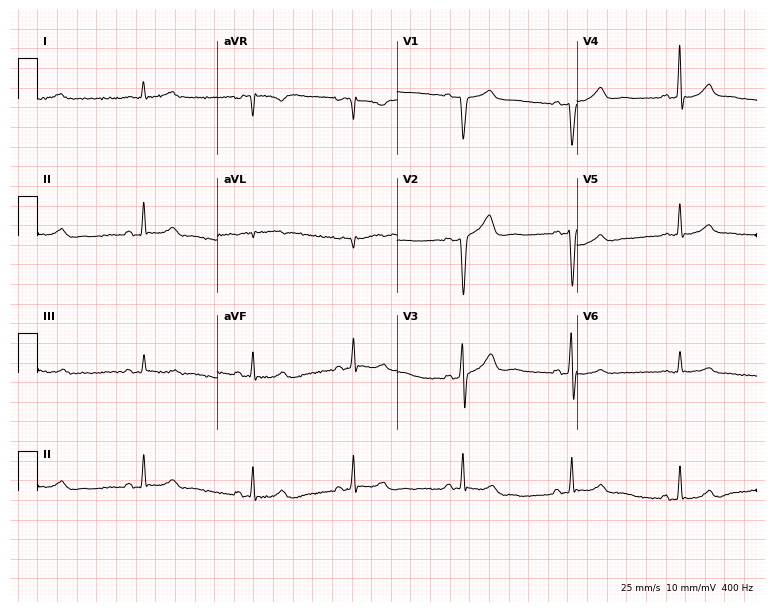
12-lead ECG from a 66-year-old male patient (7.3-second recording at 400 Hz). No first-degree AV block, right bundle branch block (RBBB), left bundle branch block (LBBB), sinus bradycardia, atrial fibrillation (AF) or sinus tachycardia recorded for this tracing. Other findings, if any, are not listed.